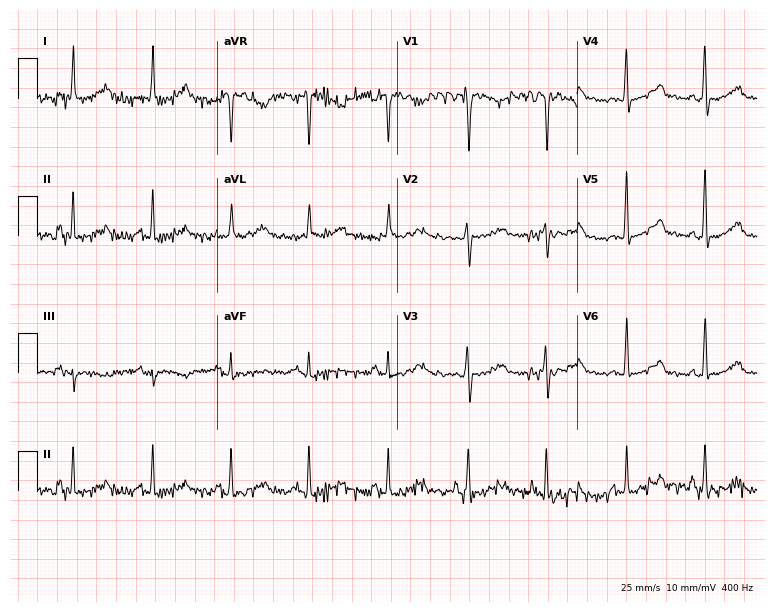
Resting 12-lead electrocardiogram. Patient: a female, 42 years old. None of these six findings is recorded: first-degree AV block, right bundle branch block, left bundle branch block, sinus bradycardia, atrial fibrillation, sinus tachycardia.